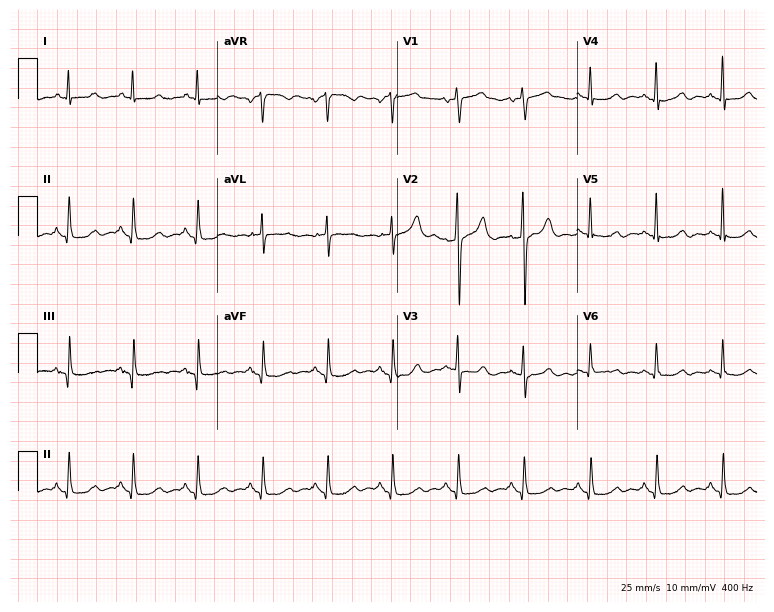
ECG (7.3-second recording at 400 Hz) — a female patient, 70 years old. Screened for six findings — first-degree AV block, right bundle branch block, left bundle branch block, sinus bradycardia, atrial fibrillation, sinus tachycardia — none is recorded. Other findings, if any, are not listed.